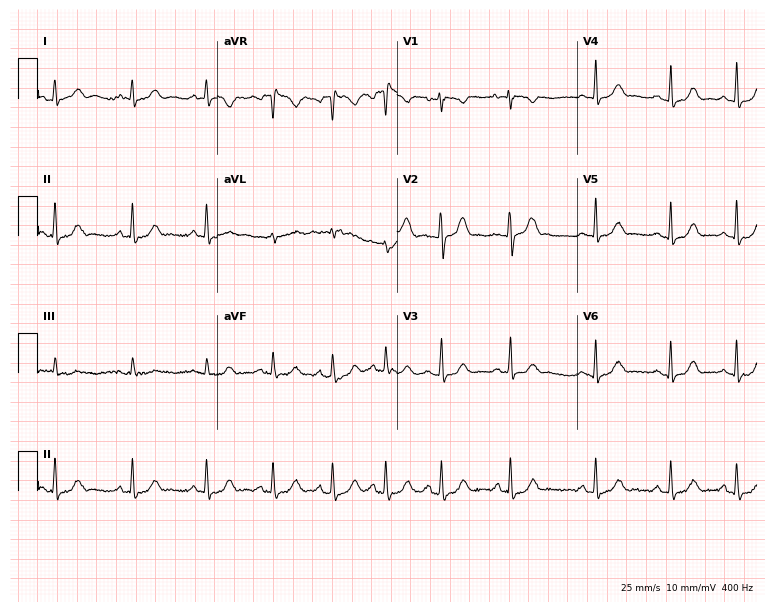
Electrocardiogram, a 21-year-old woman. Overall reading on record: normal ECG.